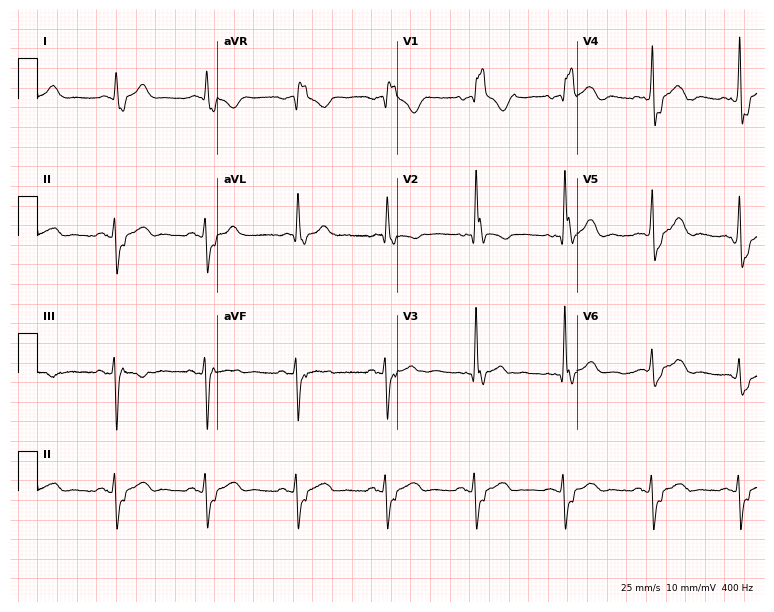
ECG (7.3-second recording at 400 Hz) — a male, 66 years old. Findings include right bundle branch block (RBBB).